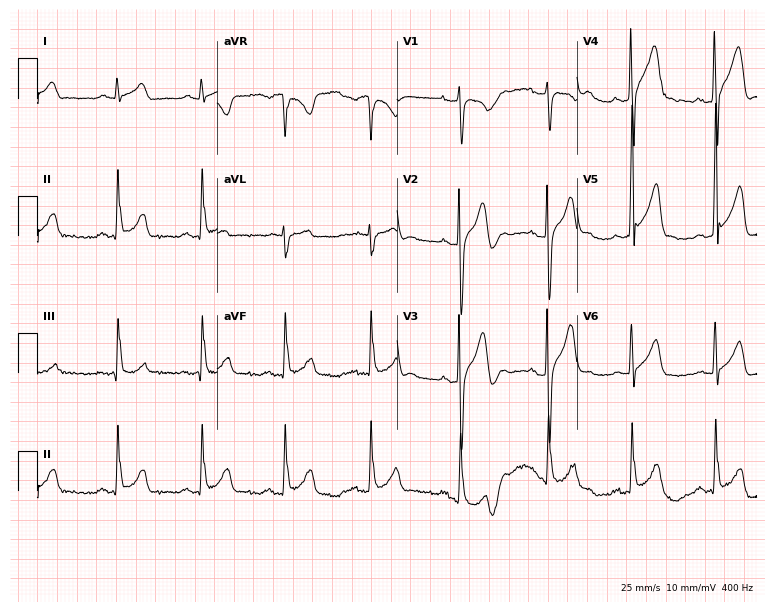
Electrocardiogram (7.3-second recording at 400 Hz), a 28-year-old male patient. Of the six screened findings (first-degree AV block, right bundle branch block (RBBB), left bundle branch block (LBBB), sinus bradycardia, atrial fibrillation (AF), sinus tachycardia), none is recorded.